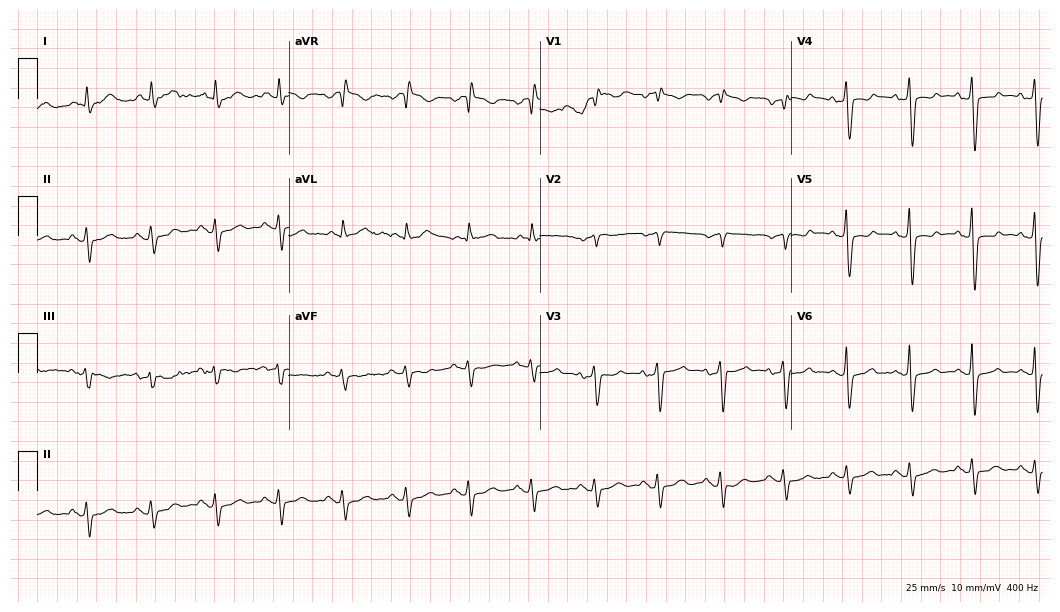
12-lead ECG (10.2-second recording at 400 Hz) from a male, 75 years old. Screened for six findings — first-degree AV block, right bundle branch block, left bundle branch block, sinus bradycardia, atrial fibrillation, sinus tachycardia — none is recorded. Findings outside these six are not listed.